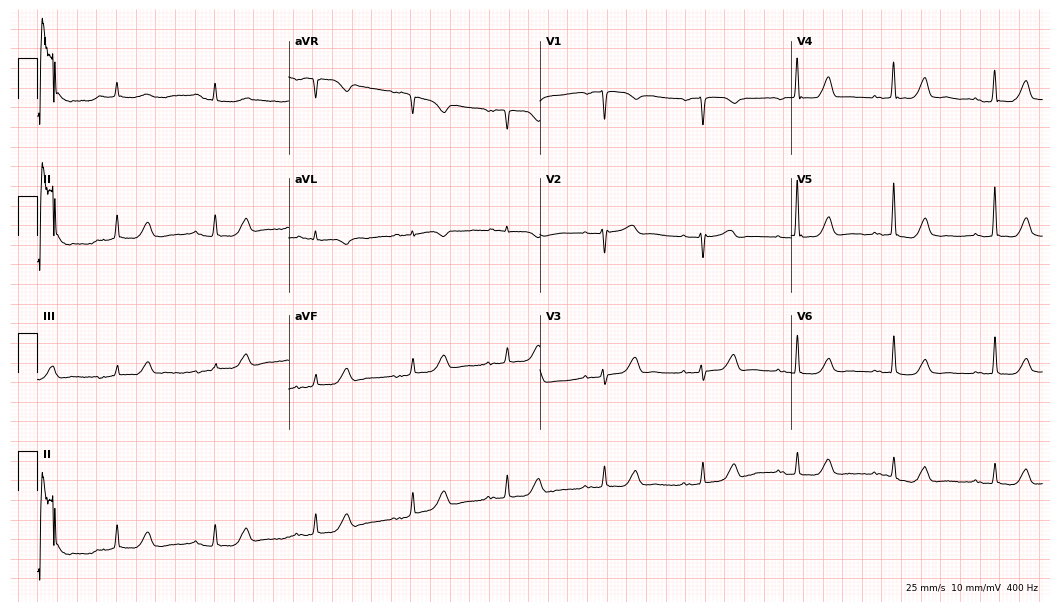
Standard 12-lead ECG recorded from a 78-year-old female (10.2-second recording at 400 Hz). None of these six findings is recorded: first-degree AV block, right bundle branch block (RBBB), left bundle branch block (LBBB), sinus bradycardia, atrial fibrillation (AF), sinus tachycardia. Other findings, if any, are not listed.